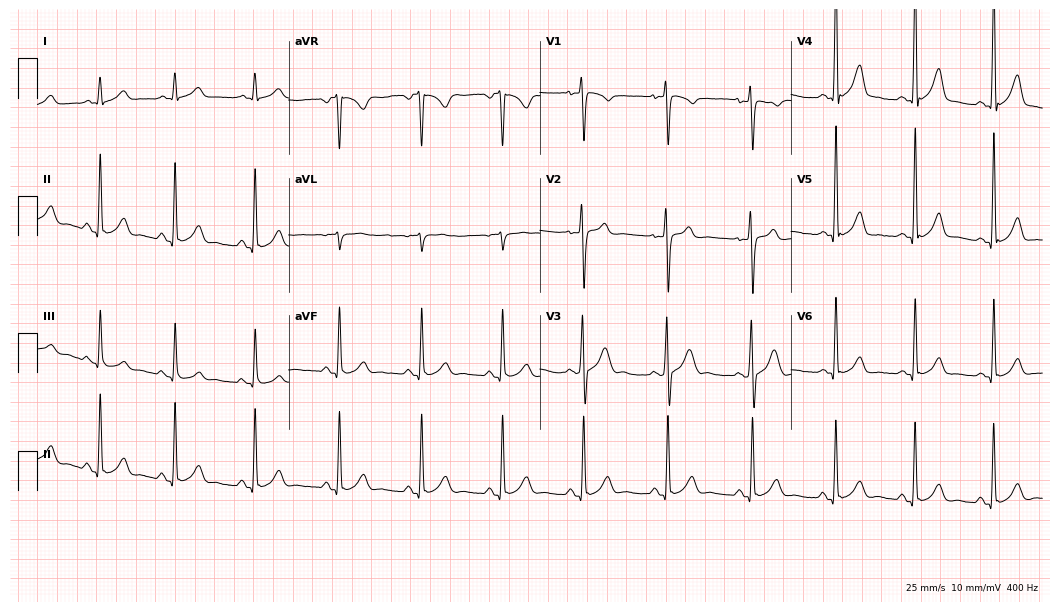
12-lead ECG from a 23-year-old male patient. Labelled as a normal ECG.